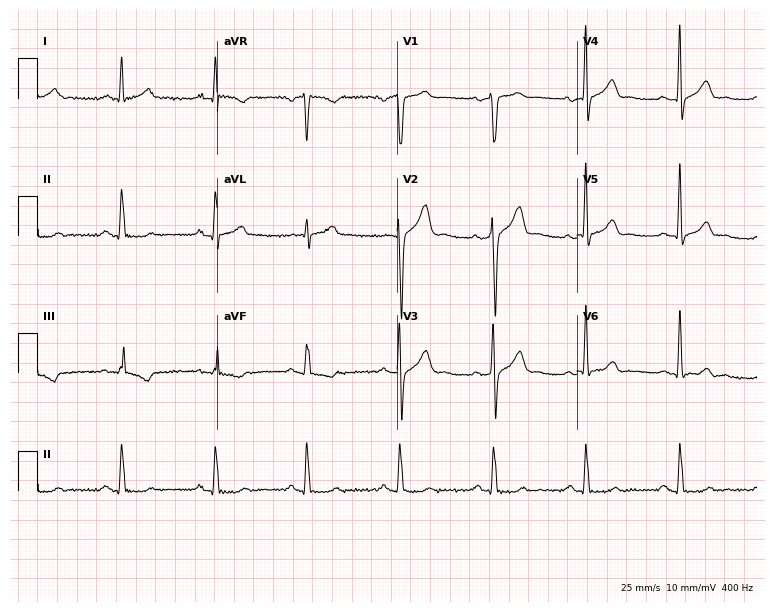
Standard 12-lead ECG recorded from a 49-year-old man. Read as a normal ECG.